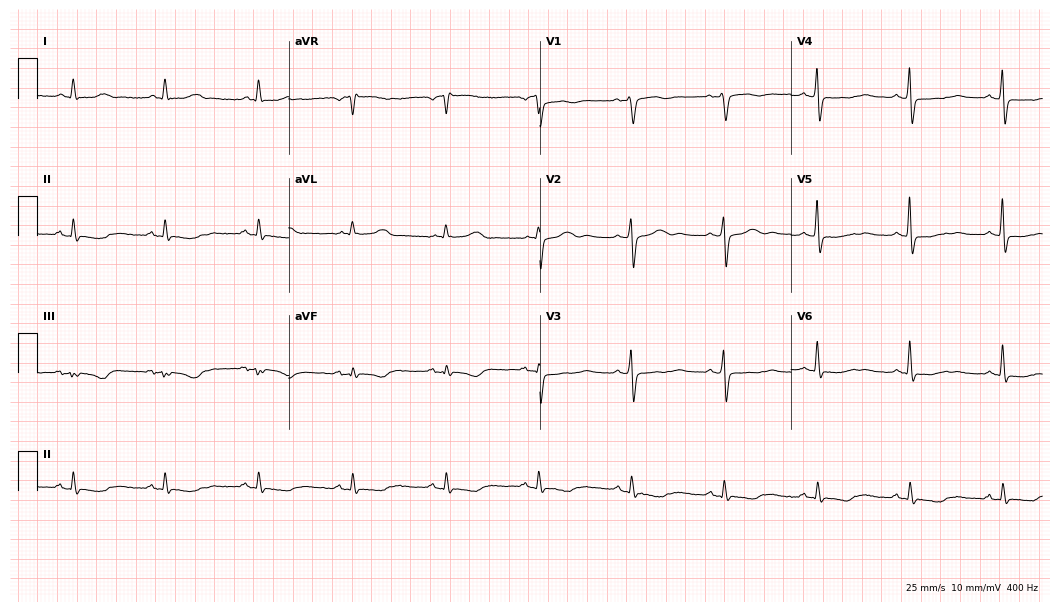
Electrocardiogram (10.2-second recording at 400 Hz), a 67-year-old female. Of the six screened findings (first-degree AV block, right bundle branch block, left bundle branch block, sinus bradycardia, atrial fibrillation, sinus tachycardia), none is recorded. Findings outside these six are not listed.